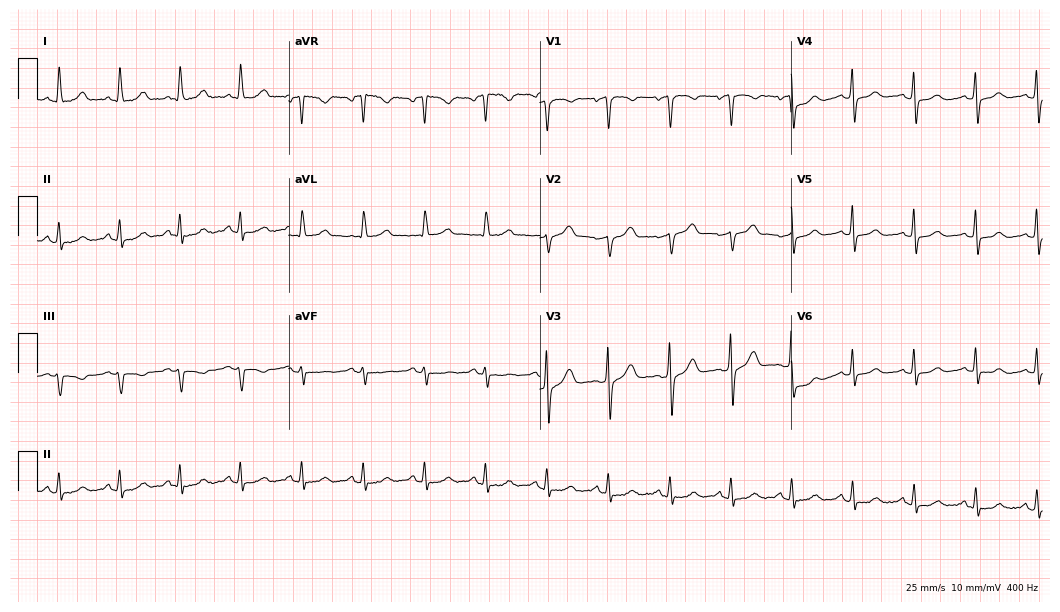
12-lead ECG from a 54-year-old female patient. Labelled as a normal ECG.